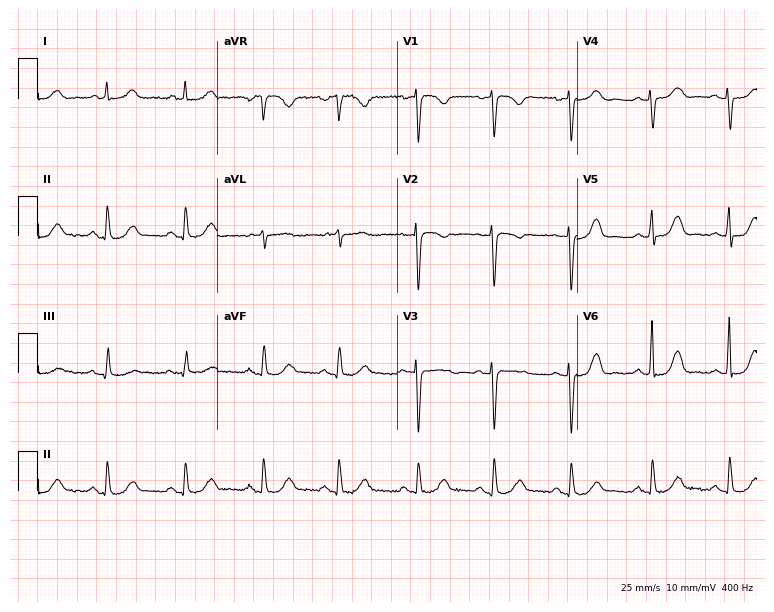
12-lead ECG from a female patient, 84 years old. Recorded interpretation: within normal limits.